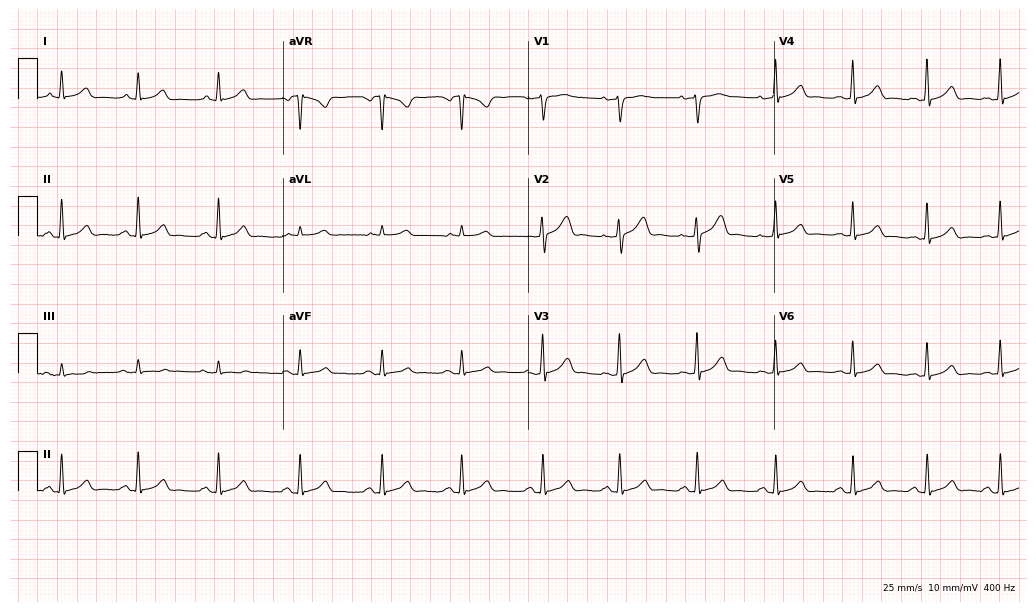
Electrocardiogram (10-second recording at 400 Hz), a female patient, 45 years old. Of the six screened findings (first-degree AV block, right bundle branch block, left bundle branch block, sinus bradycardia, atrial fibrillation, sinus tachycardia), none is recorded. Only these six findings were labelled.